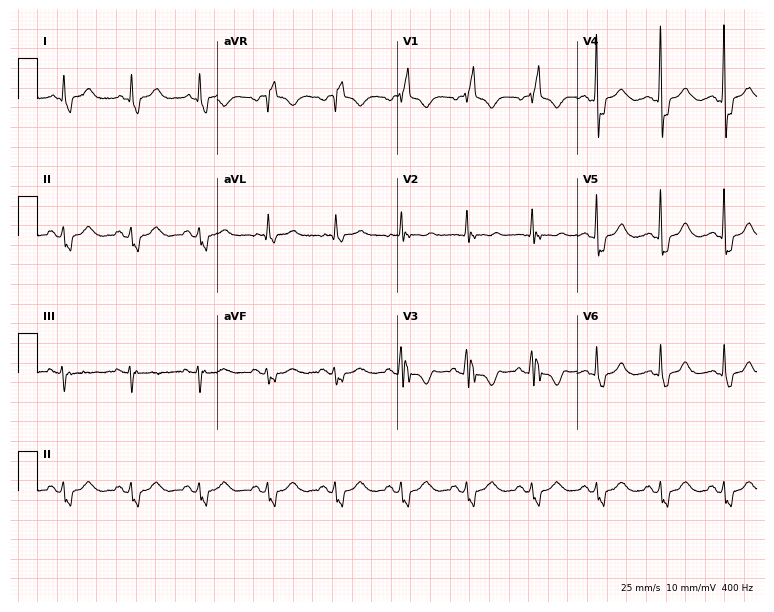
12-lead ECG from a 57-year-old woman (7.3-second recording at 400 Hz). Shows right bundle branch block (RBBB).